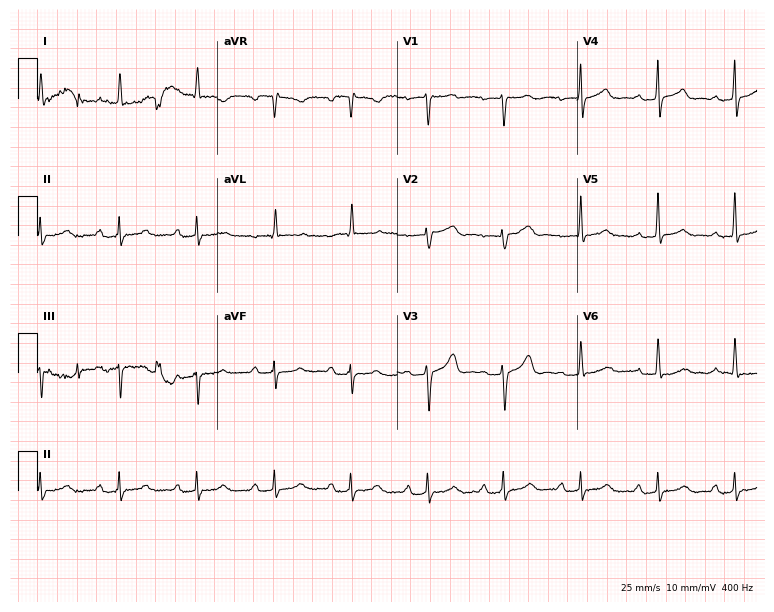
Electrocardiogram (7.3-second recording at 400 Hz), a 46-year-old female. Interpretation includes first-degree AV block.